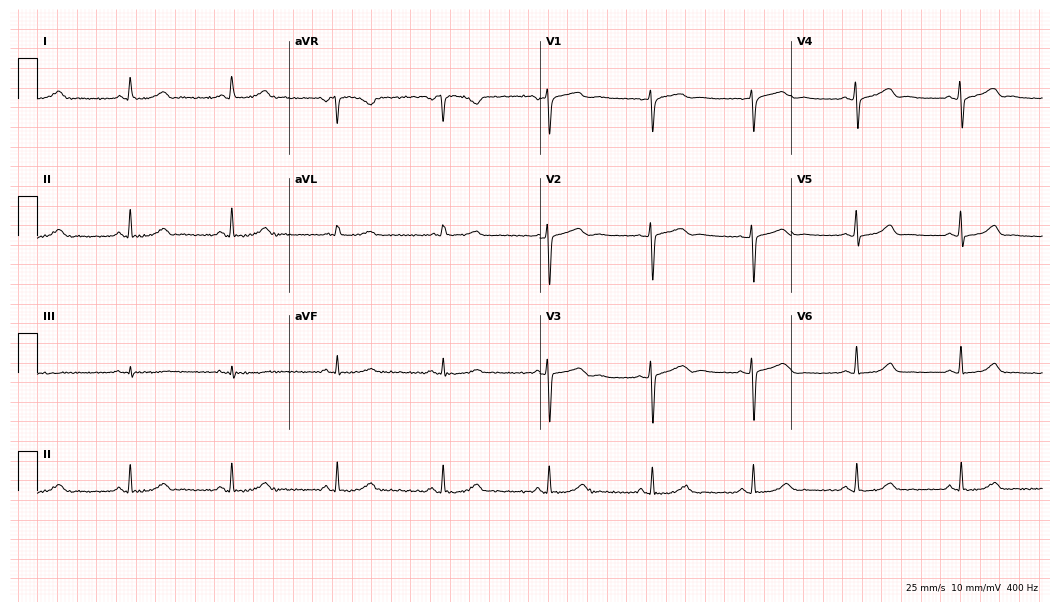
Standard 12-lead ECG recorded from a female, 41 years old. Read as a normal ECG.